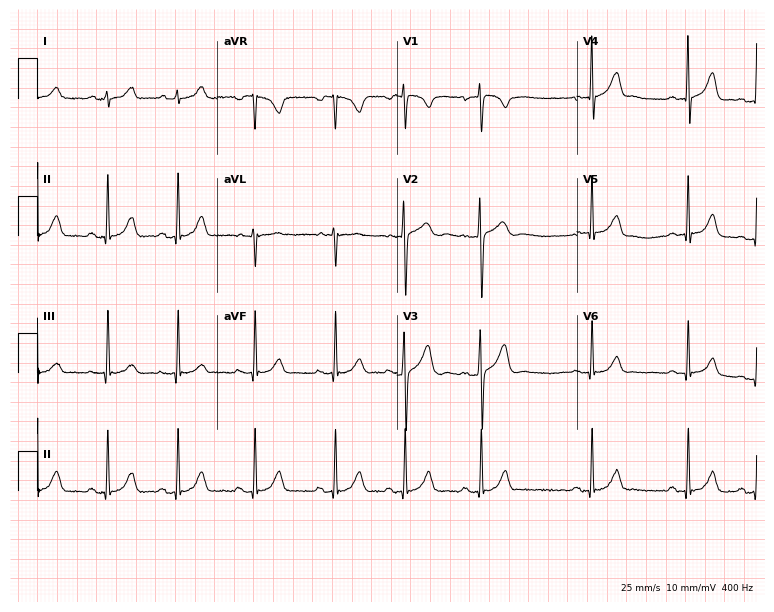
Electrocardiogram, a female patient, 25 years old. Of the six screened findings (first-degree AV block, right bundle branch block, left bundle branch block, sinus bradycardia, atrial fibrillation, sinus tachycardia), none is recorded. Other findings, if any, are not listed.